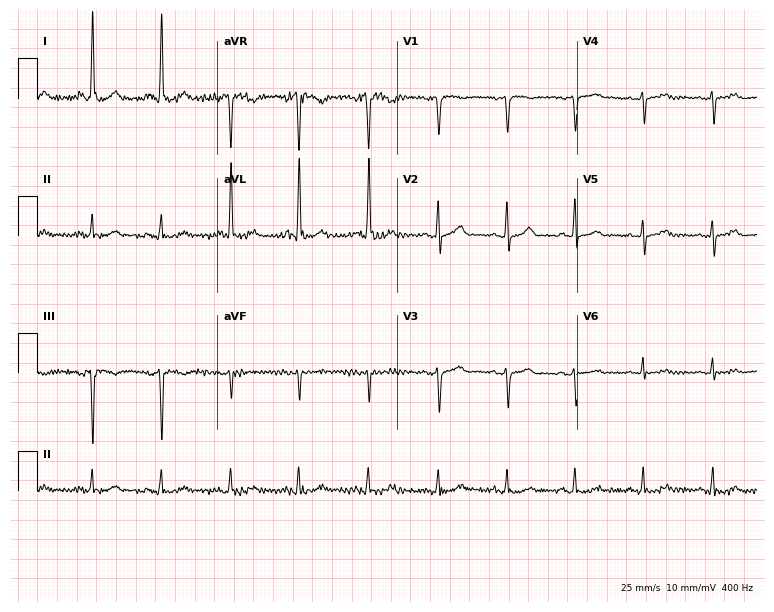
Electrocardiogram (7.3-second recording at 400 Hz), a female patient, 76 years old. Overall reading on record: normal ECG.